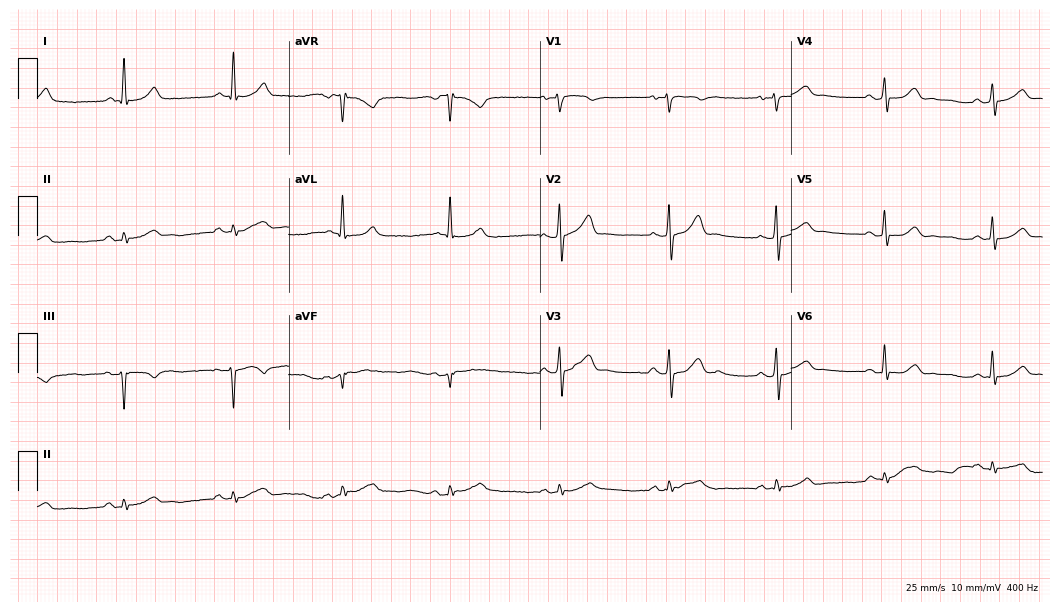
Resting 12-lead electrocardiogram. Patient: a 77-year-old woman. Read as a normal ECG.